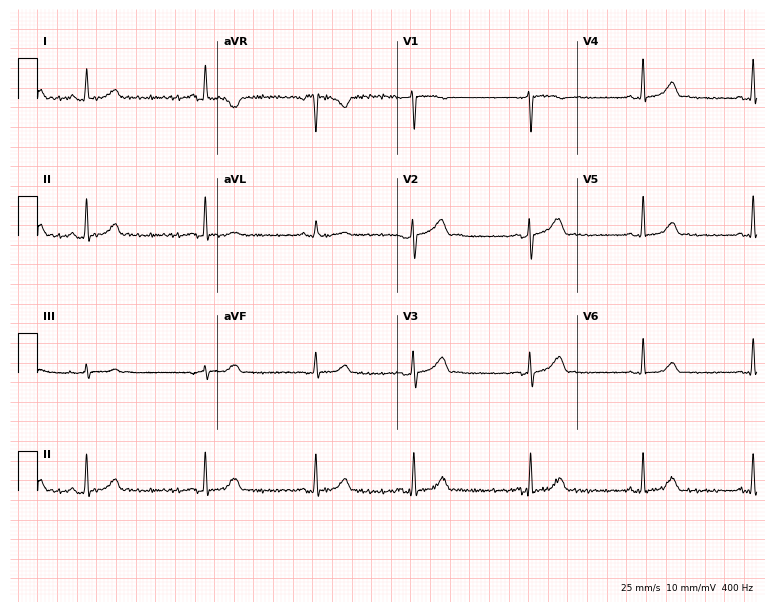
Resting 12-lead electrocardiogram (7.3-second recording at 400 Hz). Patient: a woman, 21 years old. Read as a normal ECG.